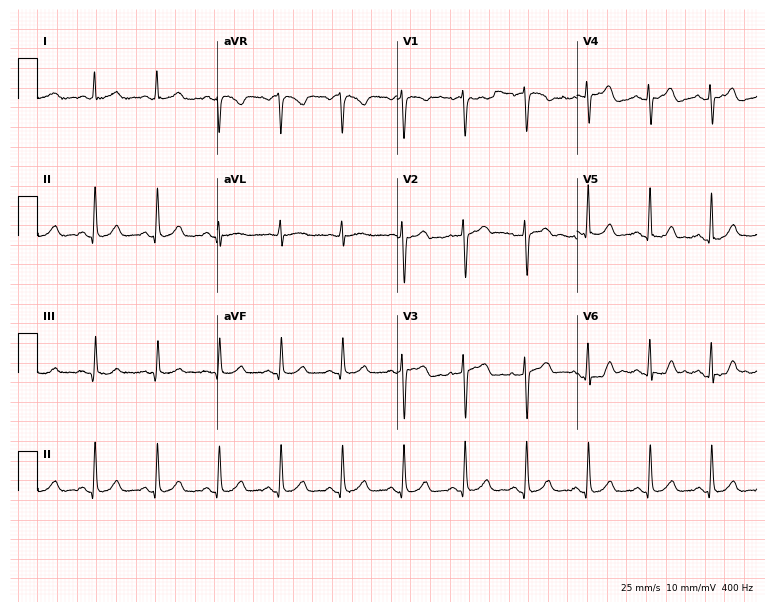
Electrocardiogram (7.3-second recording at 400 Hz), a 59-year-old female patient. Of the six screened findings (first-degree AV block, right bundle branch block (RBBB), left bundle branch block (LBBB), sinus bradycardia, atrial fibrillation (AF), sinus tachycardia), none is recorded. Findings outside these six are not listed.